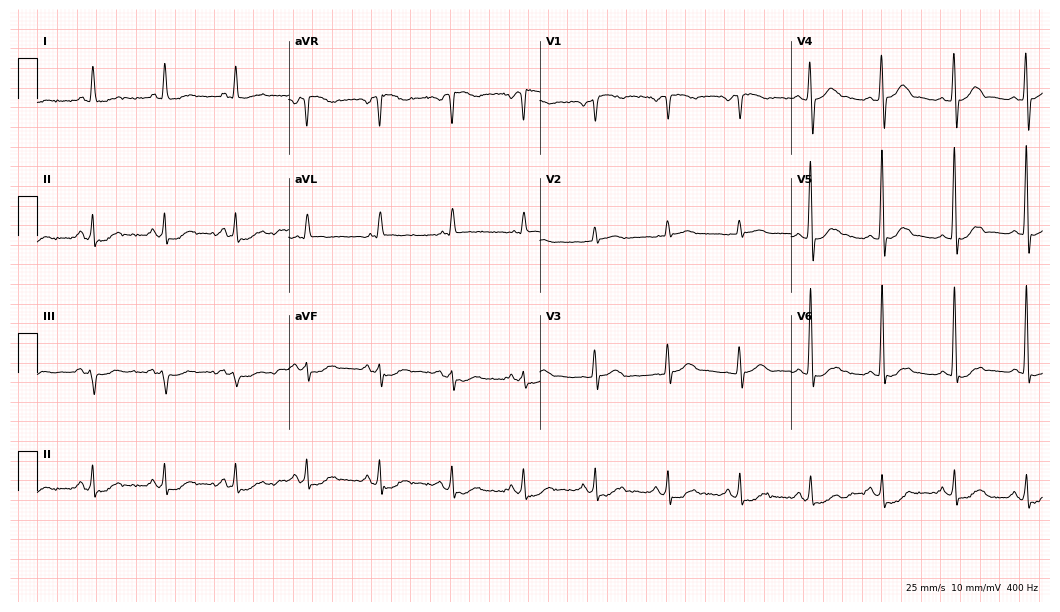
12-lead ECG (10.2-second recording at 400 Hz) from a 75-year-old male patient. Labelled as a normal ECG.